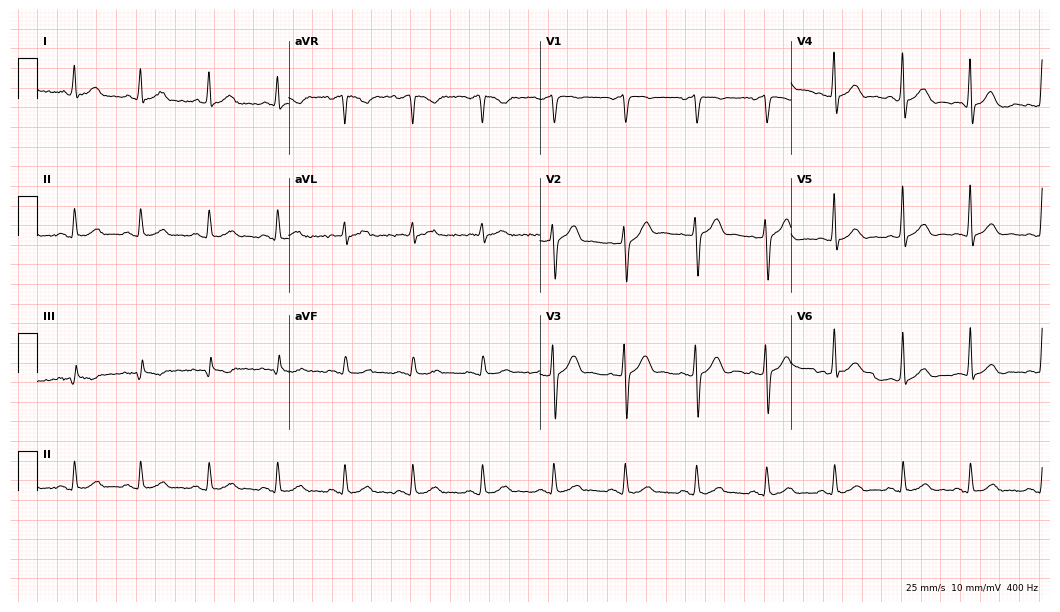
12-lead ECG from a 40-year-old male patient. Recorded interpretation: within normal limits.